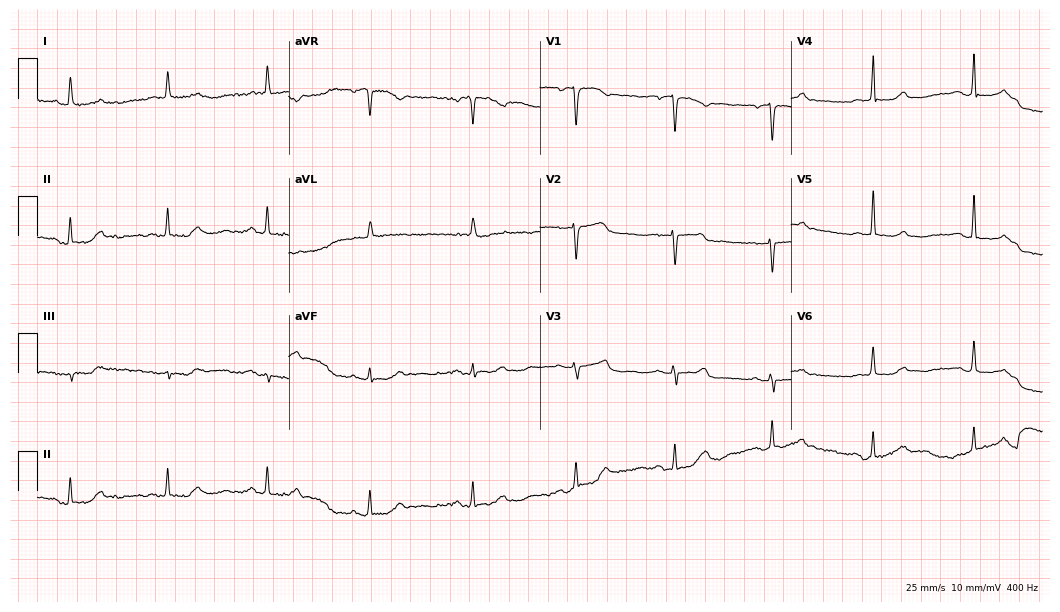
12-lead ECG from a female, 84 years old (10.2-second recording at 400 Hz). Recorded interpretation: within normal limits.